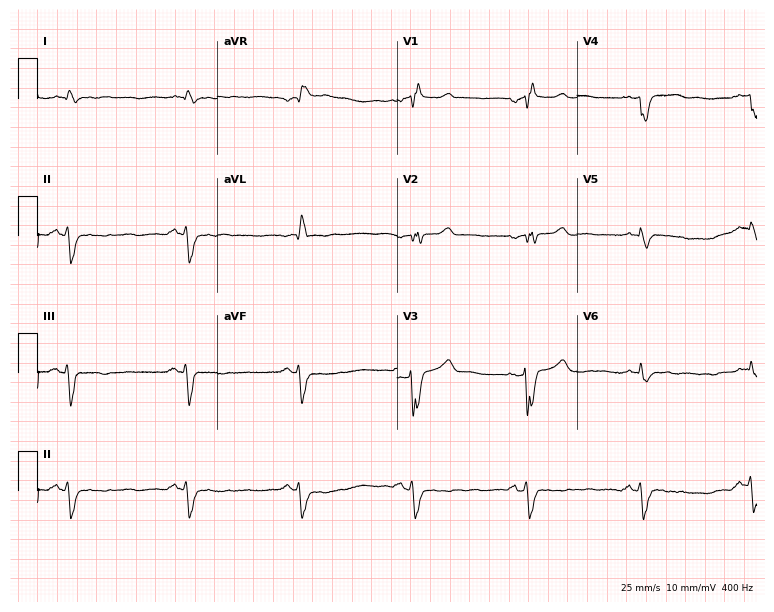
Resting 12-lead electrocardiogram (7.3-second recording at 400 Hz). Patient: a 60-year-old male. The tracing shows right bundle branch block (RBBB).